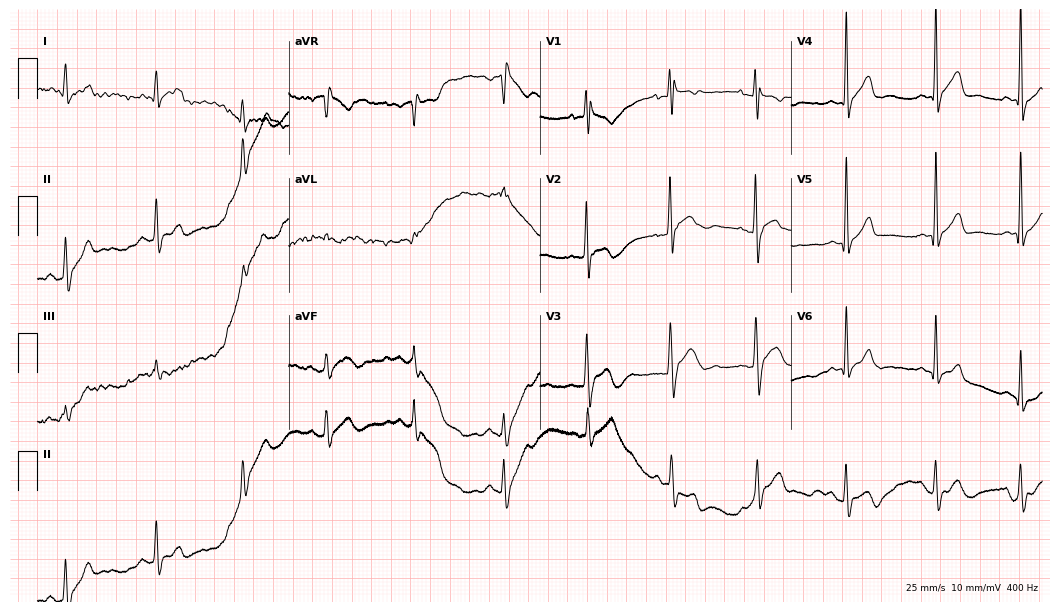
ECG (10.2-second recording at 400 Hz) — a male, 22 years old. Labelled as a normal ECG.